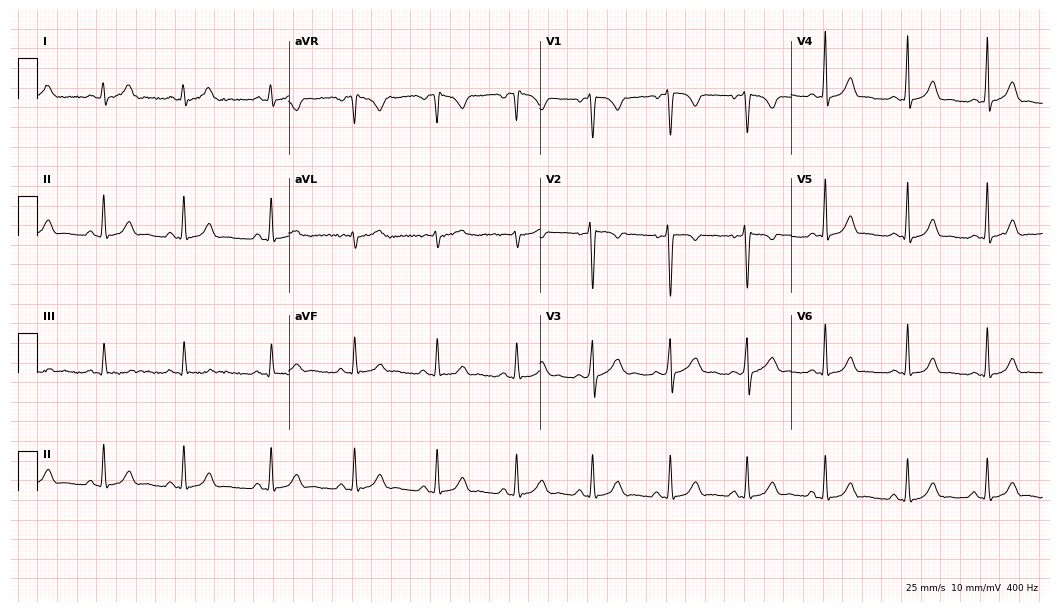
Electrocardiogram, a female patient, 24 years old. Of the six screened findings (first-degree AV block, right bundle branch block (RBBB), left bundle branch block (LBBB), sinus bradycardia, atrial fibrillation (AF), sinus tachycardia), none is recorded.